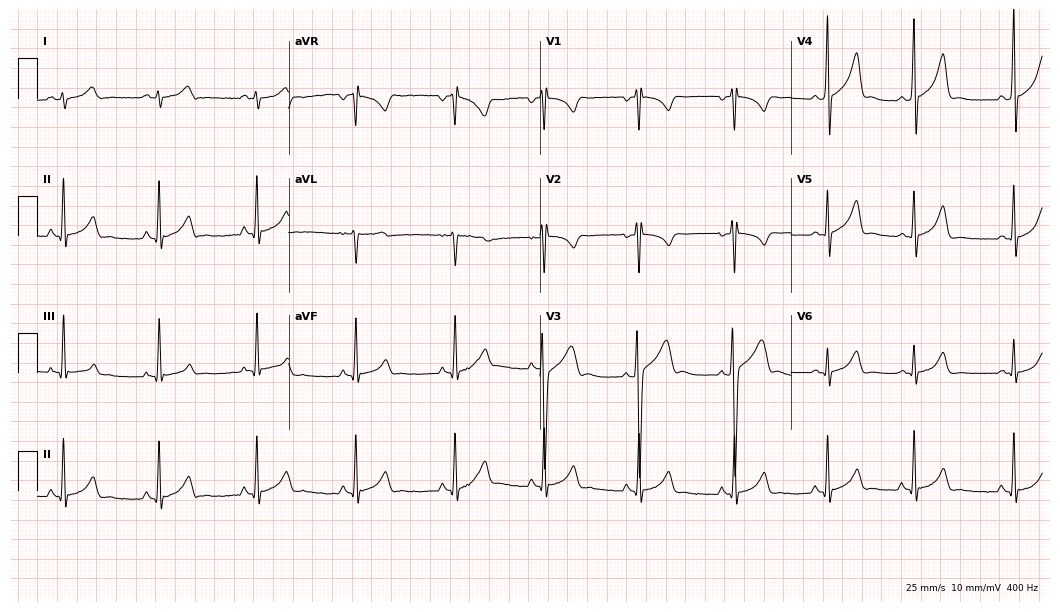
ECG (10.2-second recording at 400 Hz) — a 21-year-old man. Screened for six findings — first-degree AV block, right bundle branch block, left bundle branch block, sinus bradycardia, atrial fibrillation, sinus tachycardia — none is recorded.